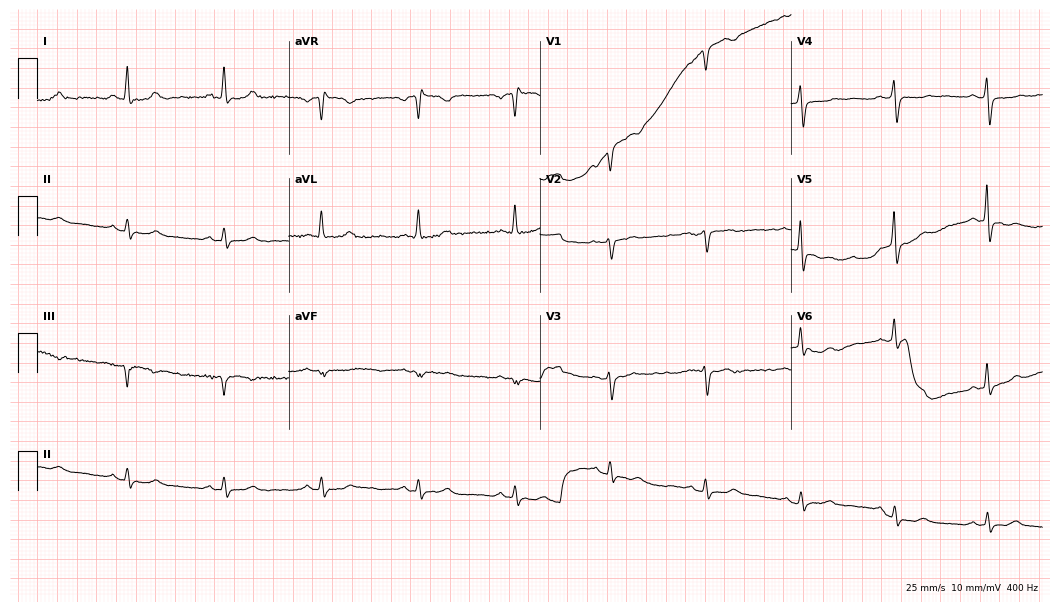
Resting 12-lead electrocardiogram (10.2-second recording at 400 Hz). Patient: a 60-year-old female. None of these six findings is recorded: first-degree AV block, right bundle branch block, left bundle branch block, sinus bradycardia, atrial fibrillation, sinus tachycardia.